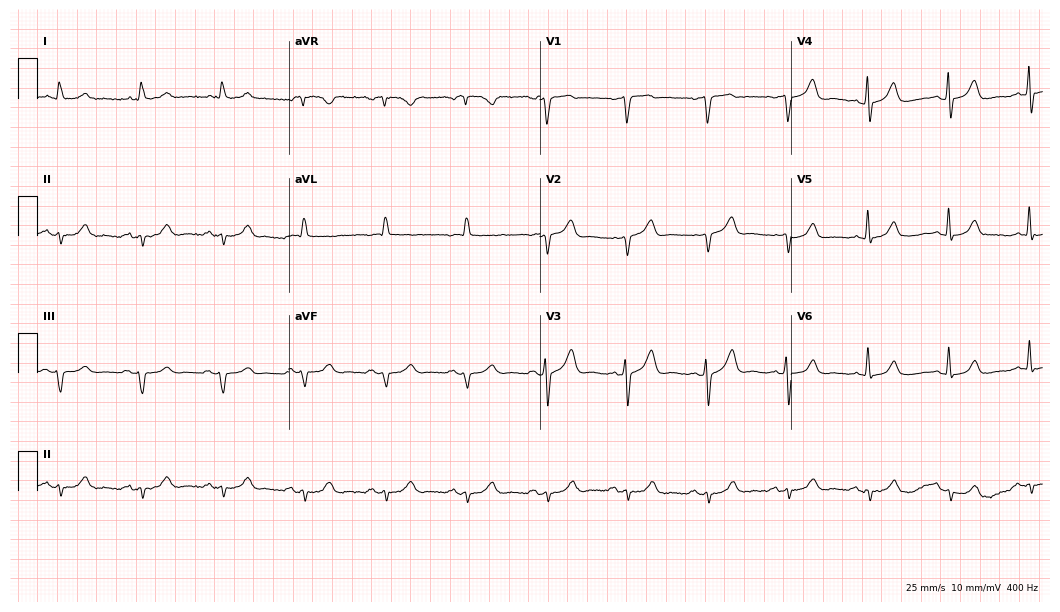
ECG — a man, 78 years old. Screened for six findings — first-degree AV block, right bundle branch block, left bundle branch block, sinus bradycardia, atrial fibrillation, sinus tachycardia — none is recorded. Only these six findings were labelled.